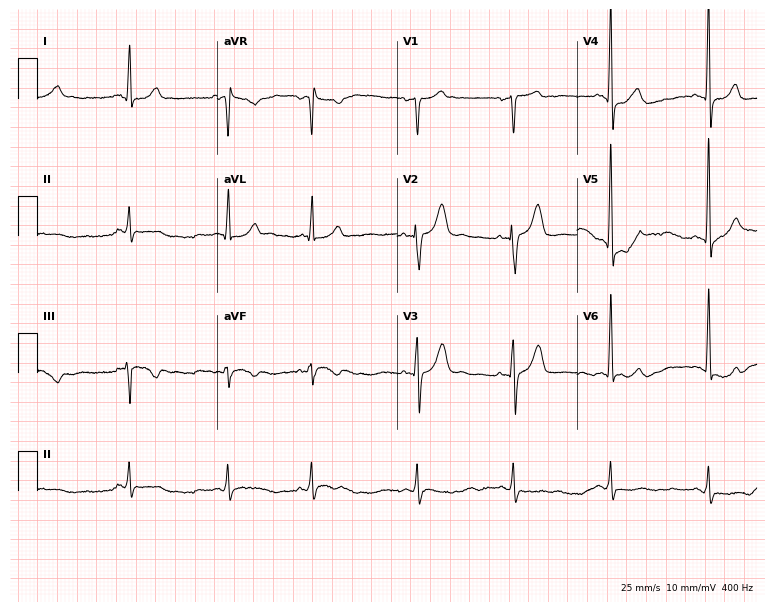
Resting 12-lead electrocardiogram (7.3-second recording at 400 Hz). Patient: a female, 62 years old. None of these six findings is recorded: first-degree AV block, right bundle branch block, left bundle branch block, sinus bradycardia, atrial fibrillation, sinus tachycardia.